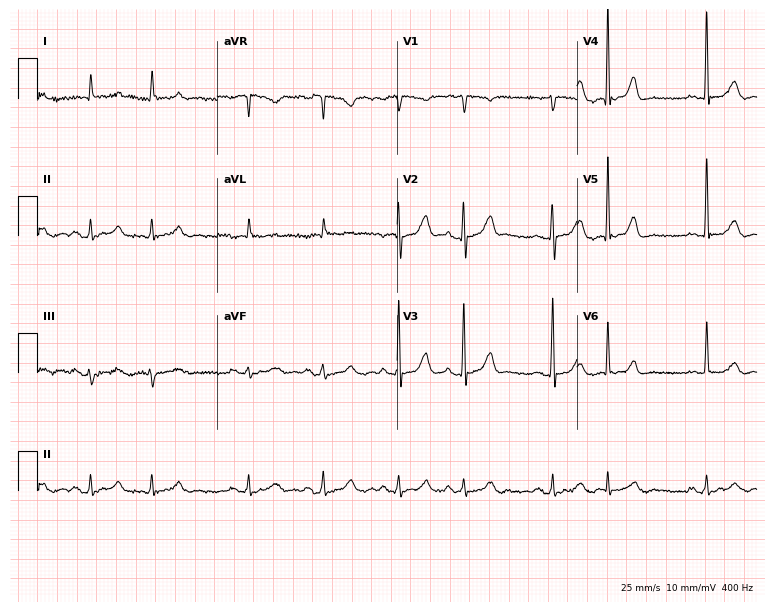
12-lead ECG from an 84-year-old female patient (7.3-second recording at 400 Hz). Recorded interpretation: within normal limits.